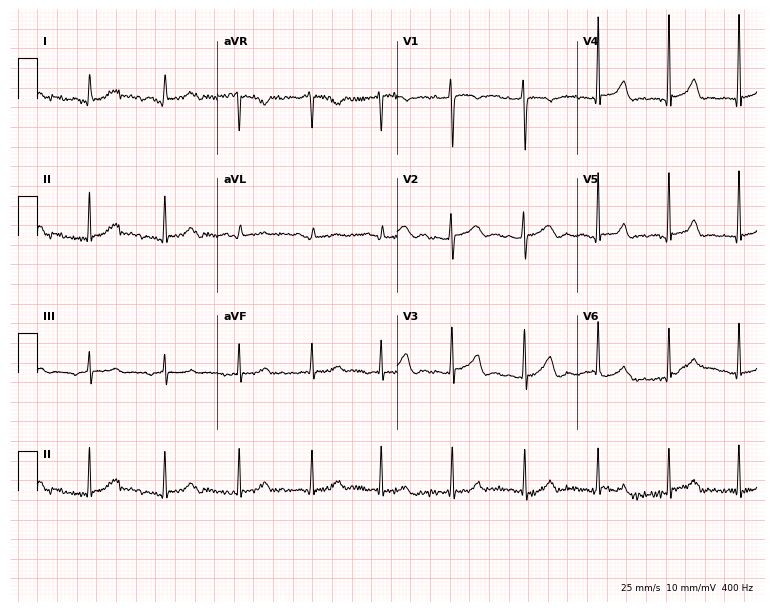
Electrocardiogram (7.3-second recording at 400 Hz), a 26-year-old female. Of the six screened findings (first-degree AV block, right bundle branch block, left bundle branch block, sinus bradycardia, atrial fibrillation, sinus tachycardia), none is recorded. Other findings, if any, are not listed.